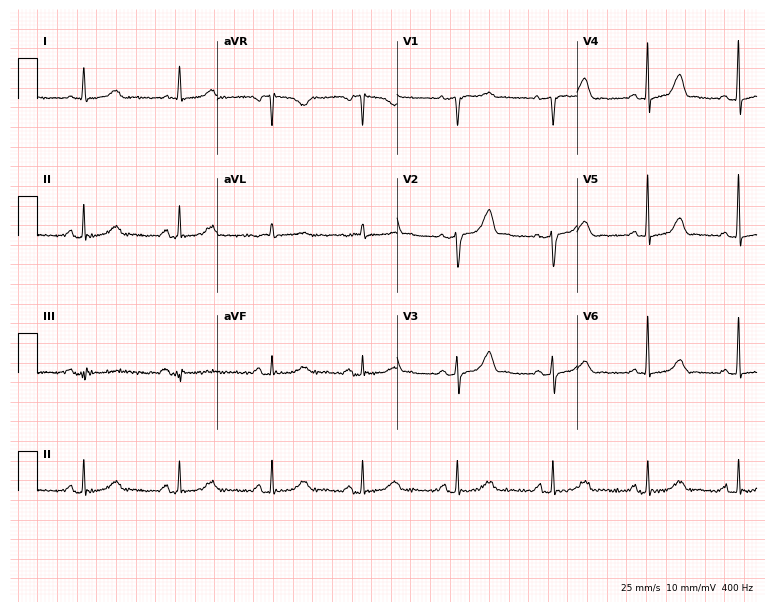
12-lead ECG from a woman, 79 years old. Recorded interpretation: within normal limits.